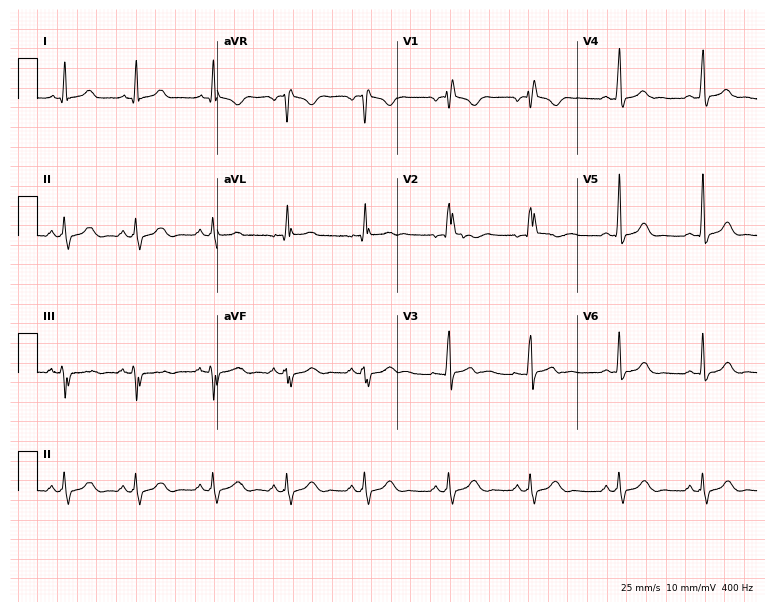
ECG (7.3-second recording at 400 Hz) — a male, 28 years old. Findings include right bundle branch block.